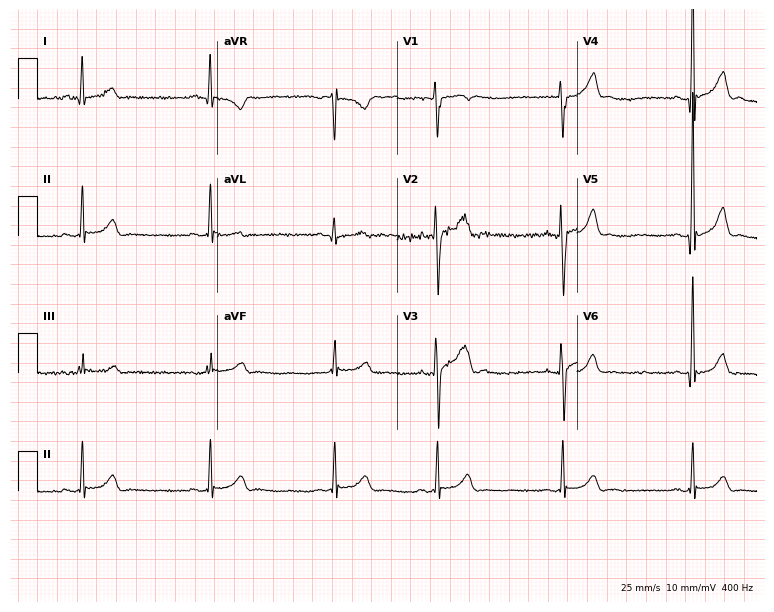
Electrocardiogram (7.3-second recording at 400 Hz), a 17-year-old male patient. Overall reading on record: normal ECG.